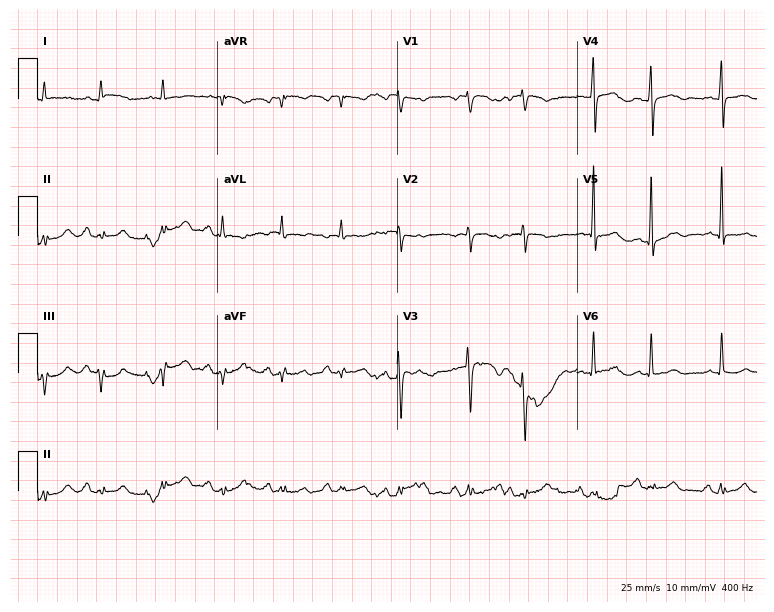
Standard 12-lead ECG recorded from a man, 79 years old. Read as a normal ECG.